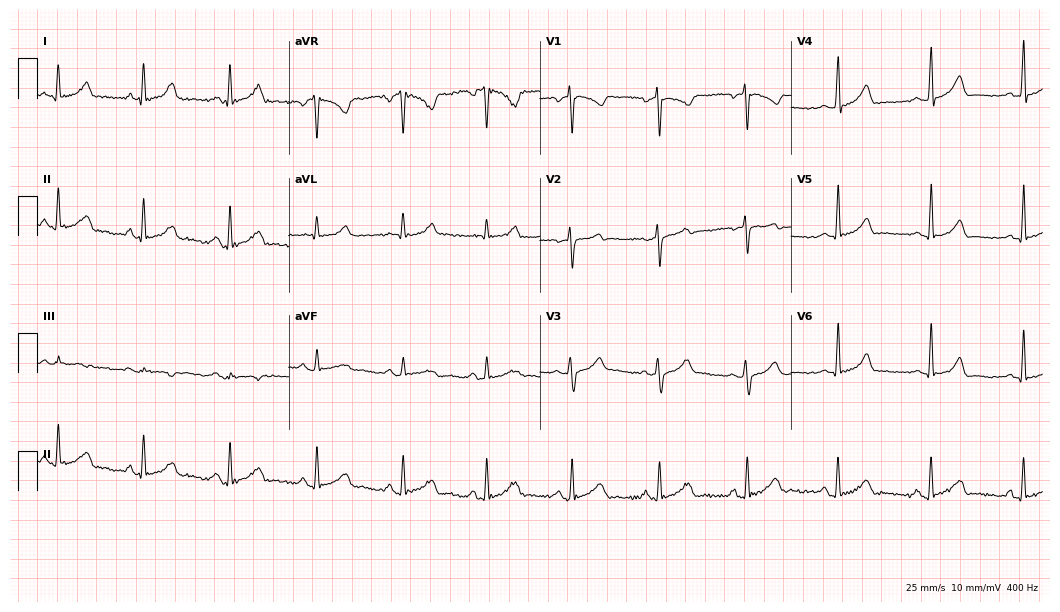
Standard 12-lead ECG recorded from a female patient, 39 years old (10.2-second recording at 400 Hz). Read as a normal ECG.